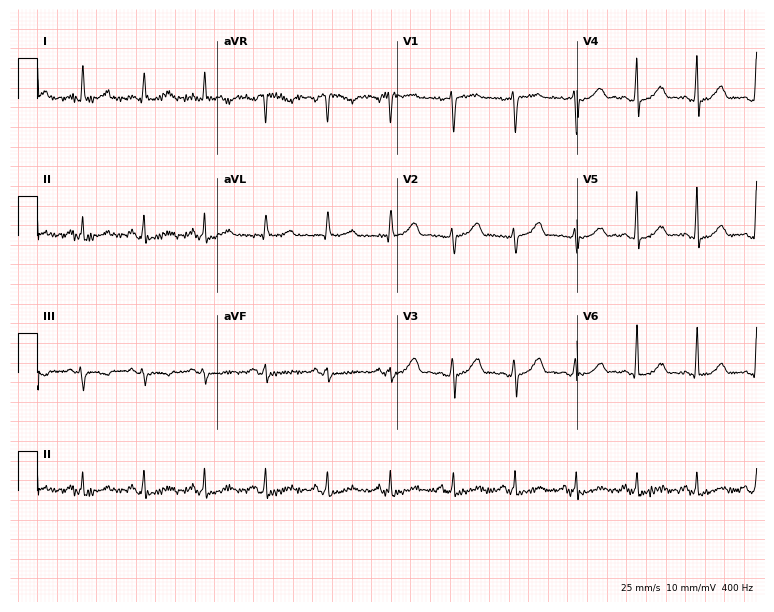
Resting 12-lead electrocardiogram (7.3-second recording at 400 Hz). Patient: a 45-year-old female. Read as a normal ECG.